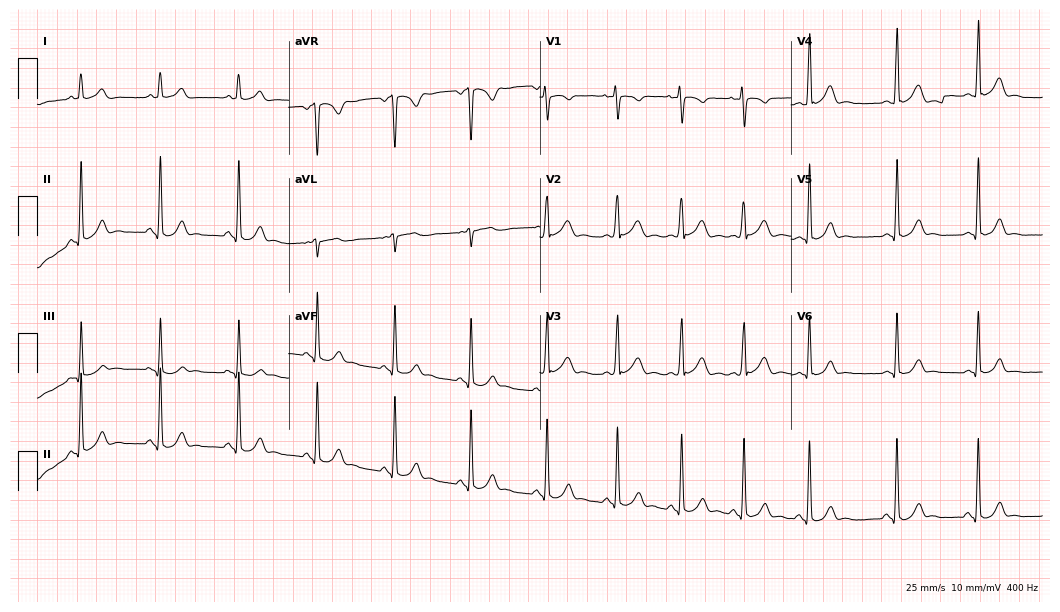
12-lead ECG (10.2-second recording at 400 Hz) from a 26-year-old woman. Screened for six findings — first-degree AV block, right bundle branch block, left bundle branch block, sinus bradycardia, atrial fibrillation, sinus tachycardia — none is recorded.